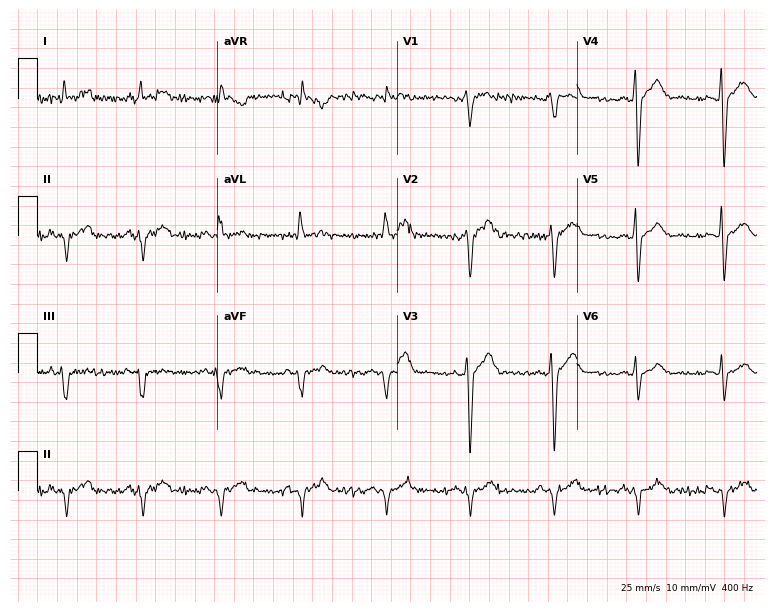
Resting 12-lead electrocardiogram. Patient: a 51-year-old male. None of these six findings is recorded: first-degree AV block, right bundle branch block, left bundle branch block, sinus bradycardia, atrial fibrillation, sinus tachycardia. Other findings, if any, are not listed.